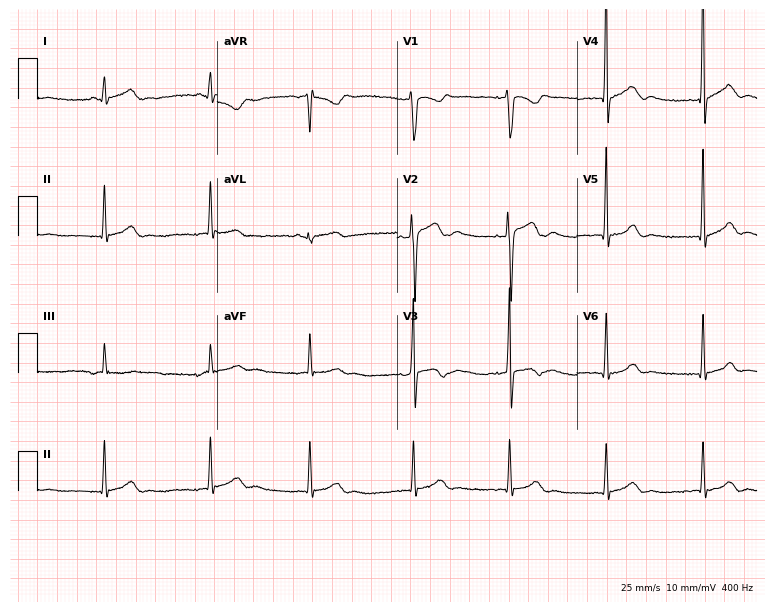
Electrocardiogram (7.3-second recording at 400 Hz), a 19-year-old man. Of the six screened findings (first-degree AV block, right bundle branch block (RBBB), left bundle branch block (LBBB), sinus bradycardia, atrial fibrillation (AF), sinus tachycardia), none is recorded. Findings outside these six are not listed.